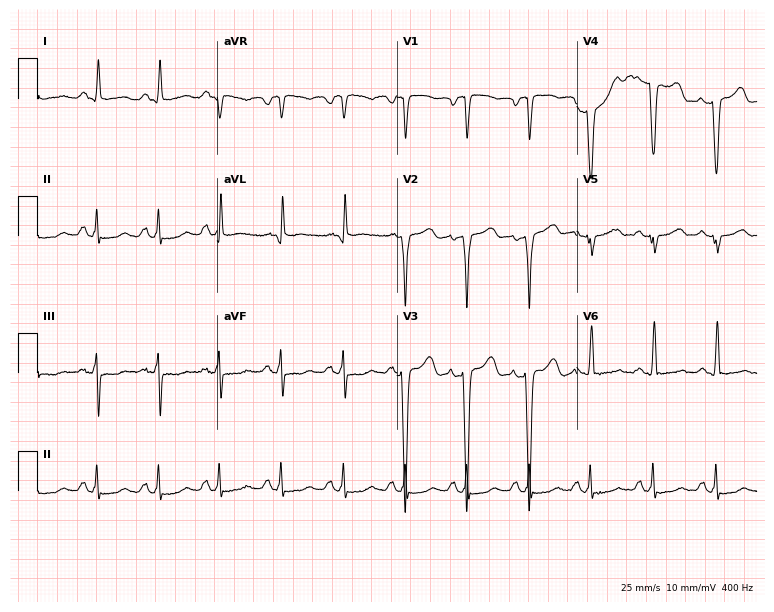
Standard 12-lead ECG recorded from a 37-year-old man (7.3-second recording at 400 Hz). None of these six findings is recorded: first-degree AV block, right bundle branch block, left bundle branch block, sinus bradycardia, atrial fibrillation, sinus tachycardia.